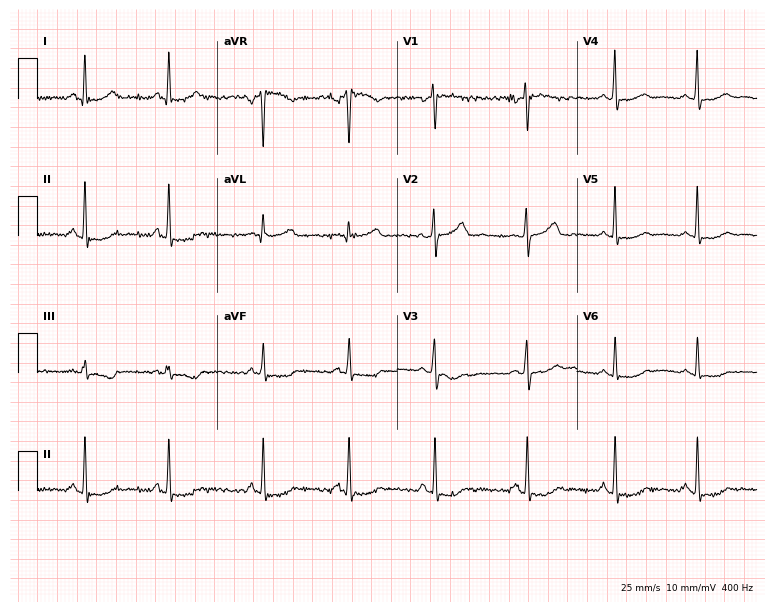
12-lead ECG from a 45-year-old male. Recorded interpretation: within normal limits.